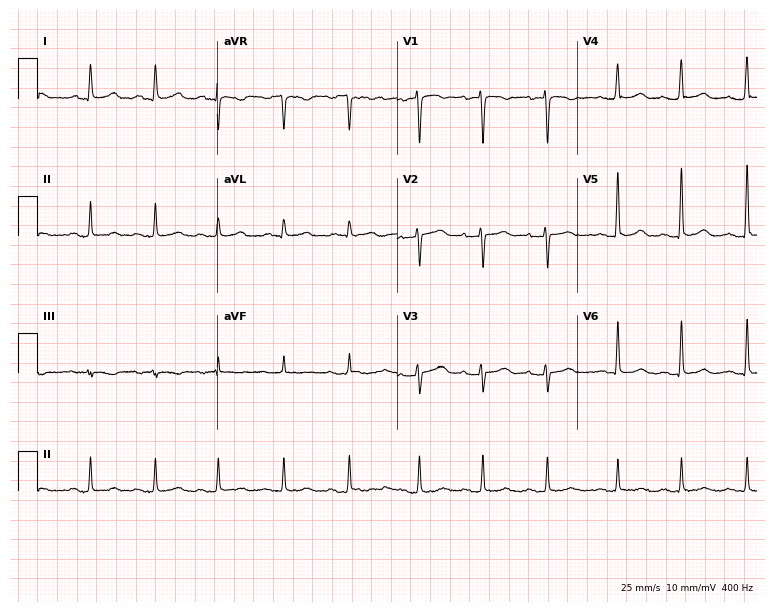
Resting 12-lead electrocardiogram (7.3-second recording at 400 Hz). Patient: a female, 37 years old. Read as a normal ECG.